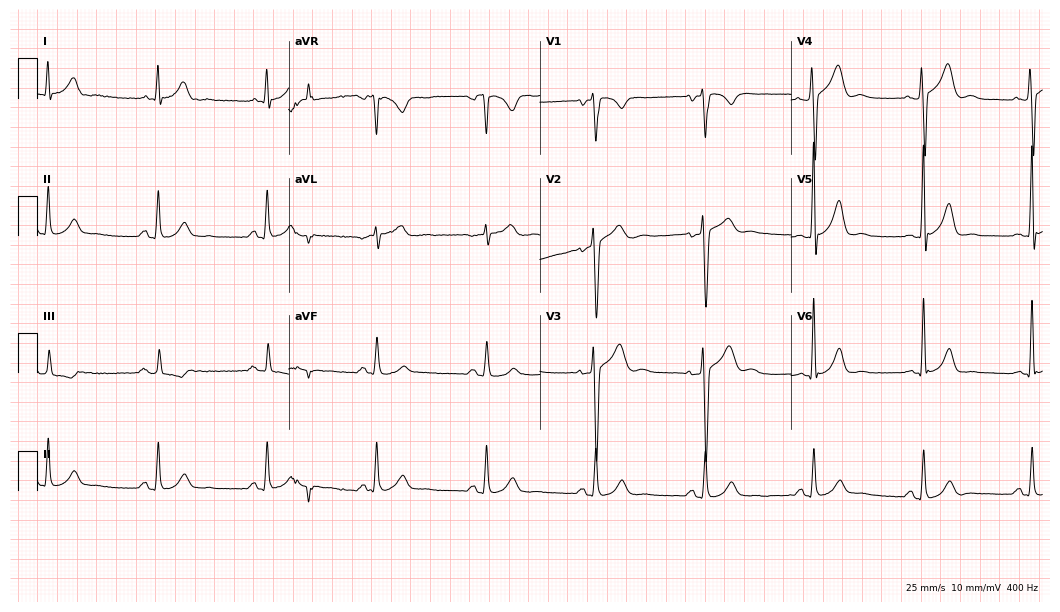
12-lead ECG (10.2-second recording at 400 Hz) from a male patient, 43 years old. Screened for six findings — first-degree AV block, right bundle branch block (RBBB), left bundle branch block (LBBB), sinus bradycardia, atrial fibrillation (AF), sinus tachycardia — none is recorded. Only these six findings were labelled.